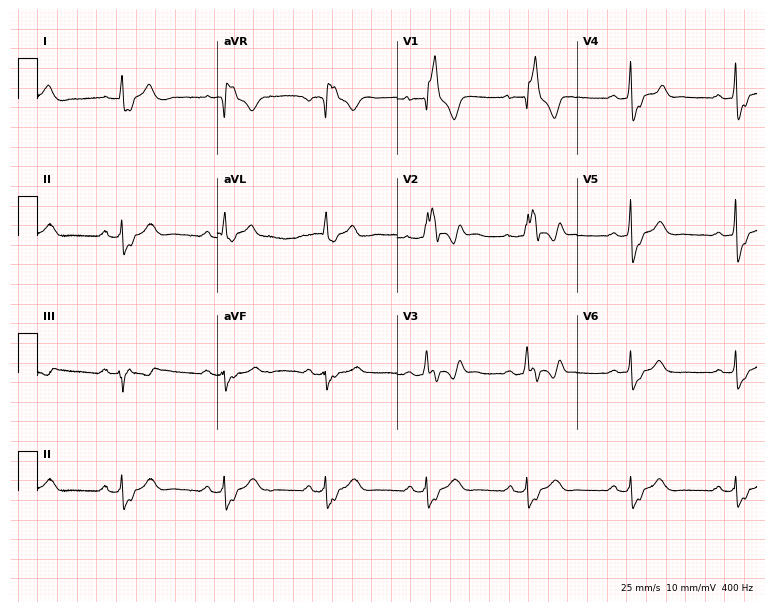
12-lead ECG from a man, 48 years old. Findings include right bundle branch block.